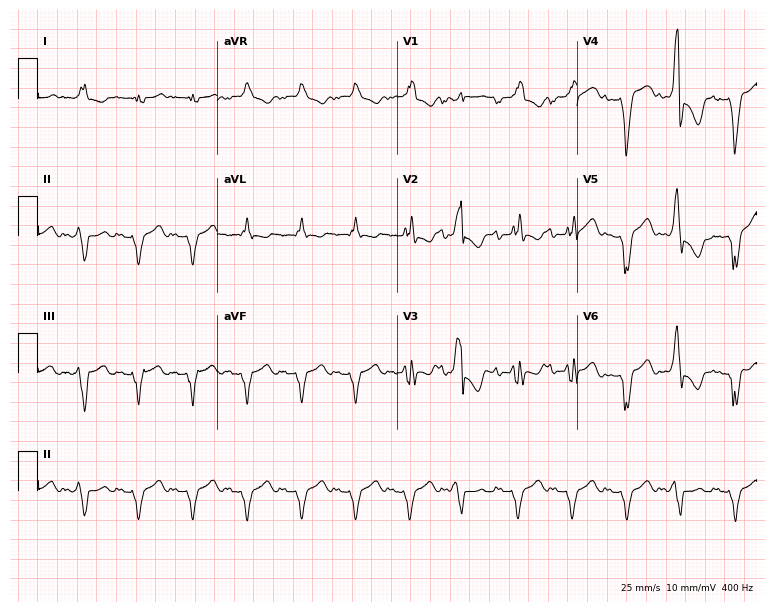
Resting 12-lead electrocardiogram. Patient: a 34-year-old man. The tracing shows right bundle branch block, sinus tachycardia (a sinus rate of 100 beats per minute or more).